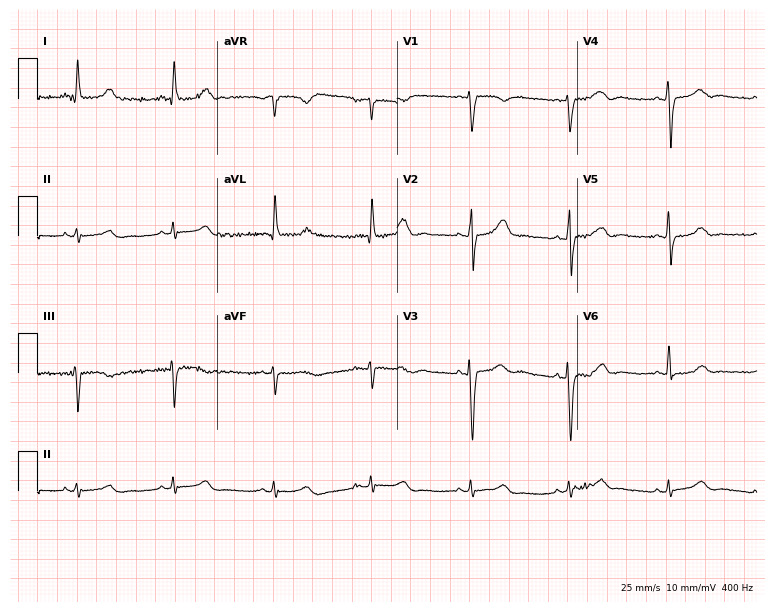
Resting 12-lead electrocardiogram (7.3-second recording at 400 Hz). Patient: a female, 53 years old. Read as a normal ECG.